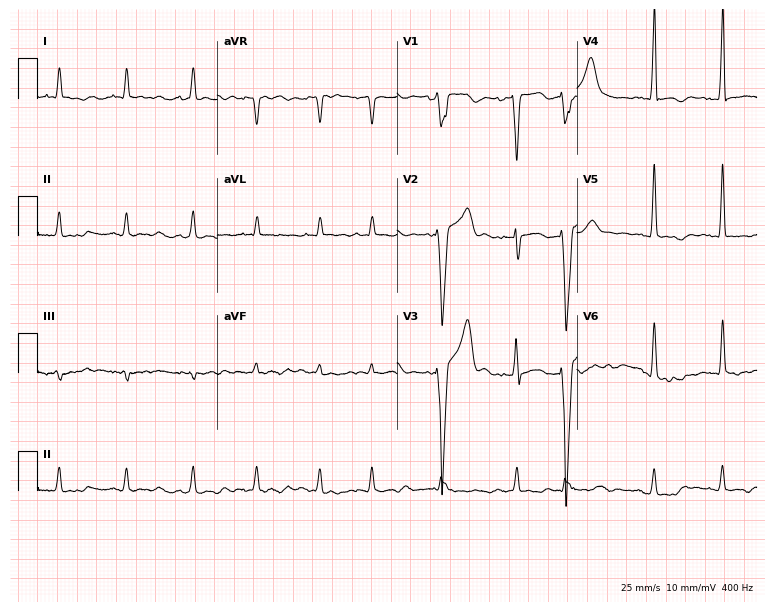
Standard 12-lead ECG recorded from a 71-year-old male (7.3-second recording at 400 Hz). The tracing shows atrial fibrillation (AF).